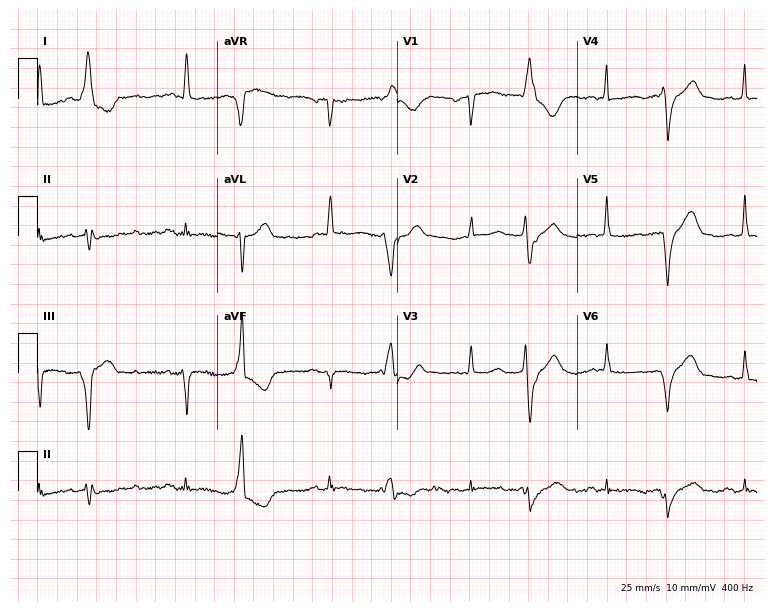
ECG — a female patient, 78 years old. Screened for six findings — first-degree AV block, right bundle branch block (RBBB), left bundle branch block (LBBB), sinus bradycardia, atrial fibrillation (AF), sinus tachycardia — none is recorded.